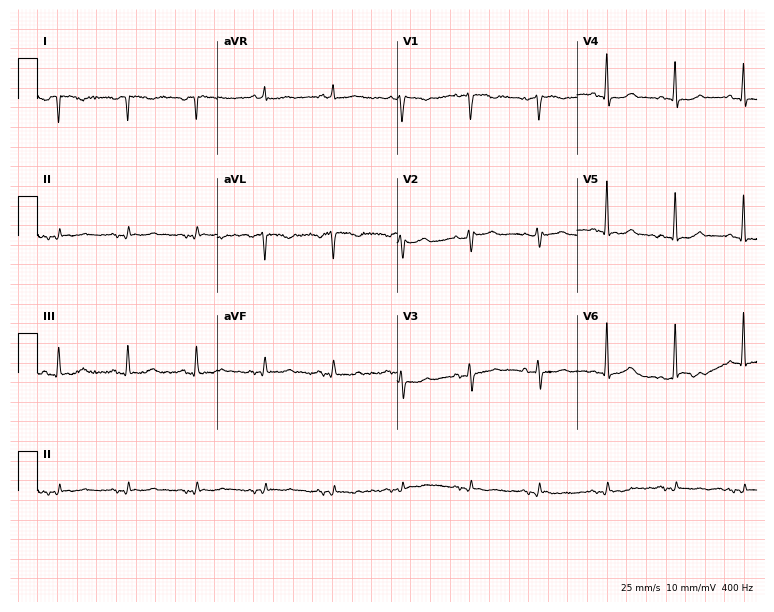
ECG (7.3-second recording at 400 Hz) — a 77-year-old female patient. Screened for six findings — first-degree AV block, right bundle branch block (RBBB), left bundle branch block (LBBB), sinus bradycardia, atrial fibrillation (AF), sinus tachycardia — none is recorded. Only these six findings were labelled.